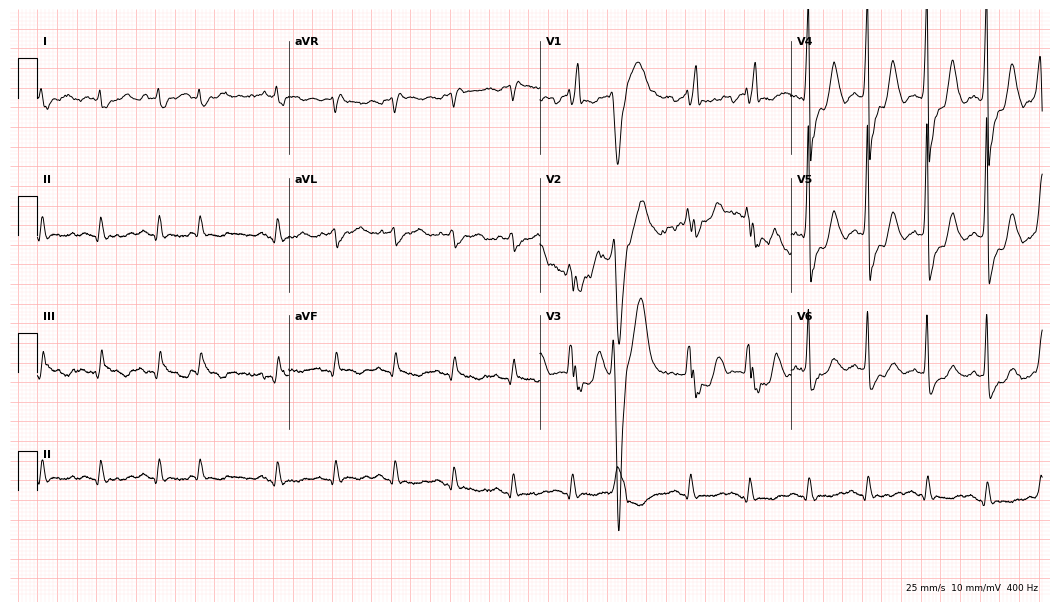
12-lead ECG from an 85-year-old male patient. Shows right bundle branch block (RBBB).